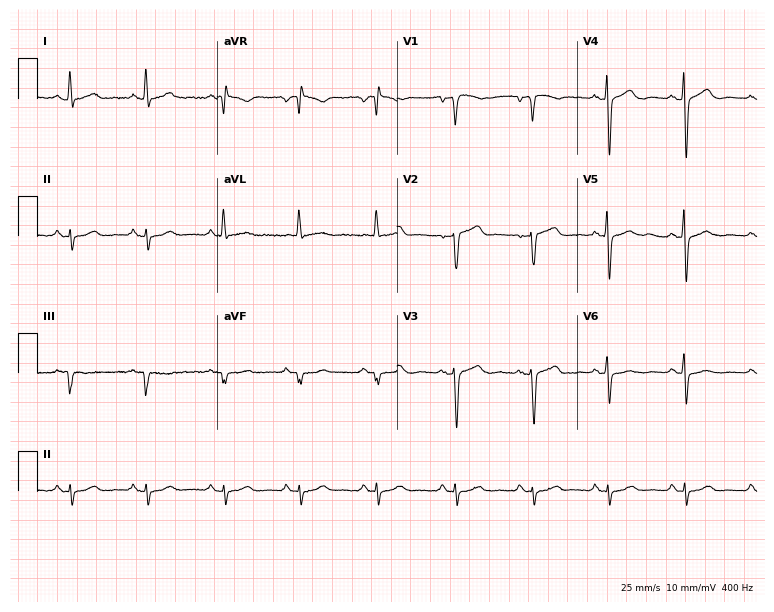
Standard 12-lead ECG recorded from a female patient, 62 years old (7.3-second recording at 400 Hz). None of these six findings is recorded: first-degree AV block, right bundle branch block, left bundle branch block, sinus bradycardia, atrial fibrillation, sinus tachycardia.